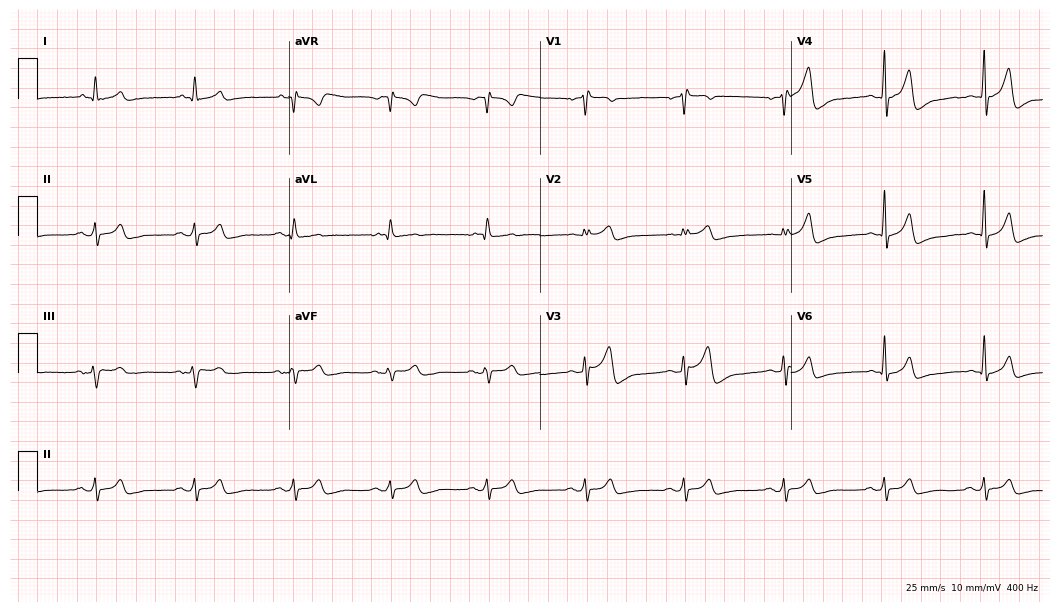
12-lead ECG from a 71-year-old male patient. No first-degree AV block, right bundle branch block (RBBB), left bundle branch block (LBBB), sinus bradycardia, atrial fibrillation (AF) or sinus tachycardia recorded for this tracing. Findings outside these six are not listed.